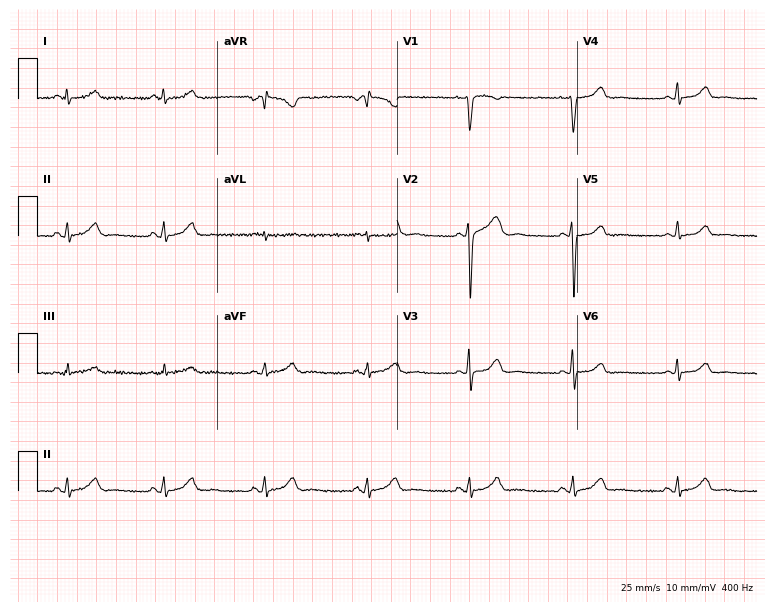
Standard 12-lead ECG recorded from a female, 45 years old. Read as a normal ECG.